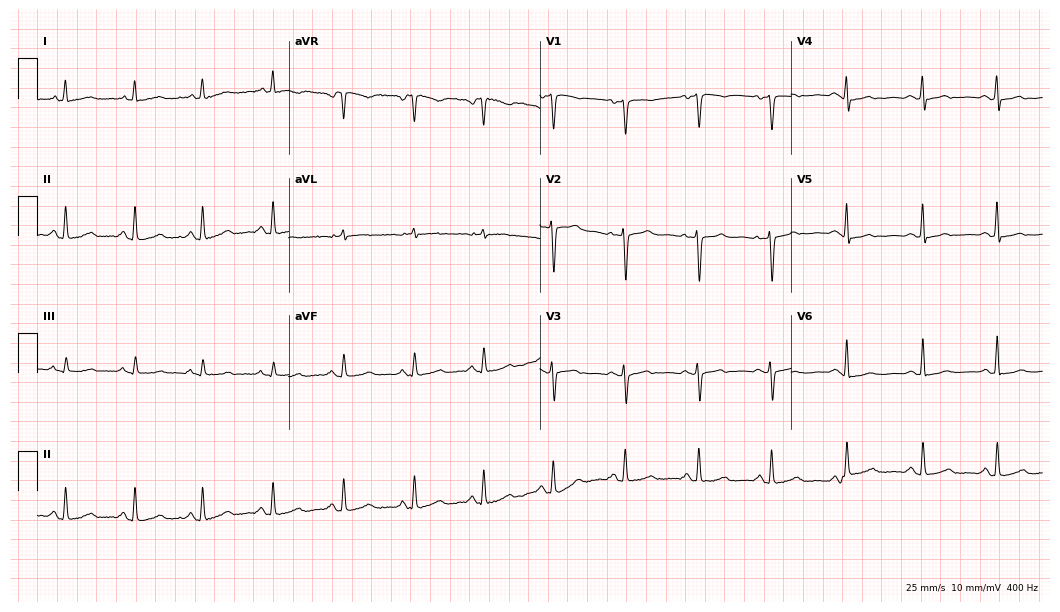
Resting 12-lead electrocardiogram. Patient: a woman, 39 years old. Read as a normal ECG.